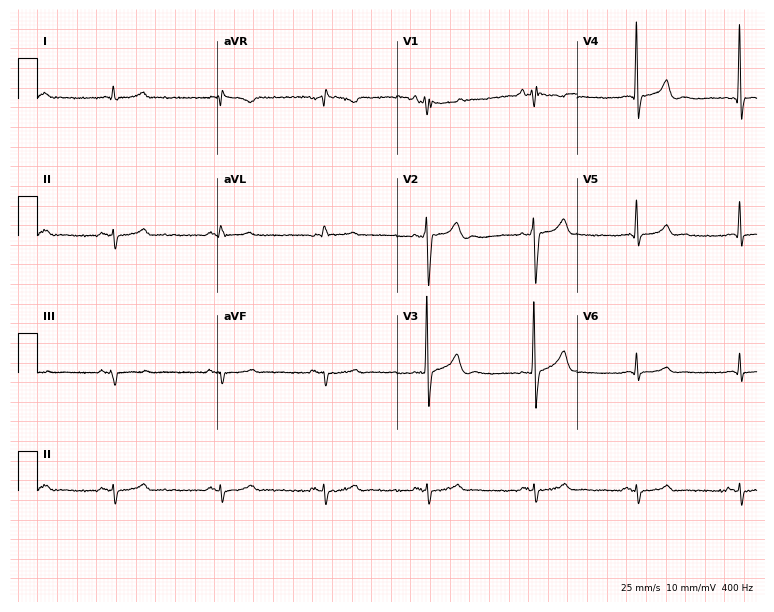
12-lead ECG from a male patient, 58 years old (7.3-second recording at 400 Hz). No first-degree AV block, right bundle branch block, left bundle branch block, sinus bradycardia, atrial fibrillation or sinus tachycardia recorded for this tracing. Other findings, if any, are not listed.